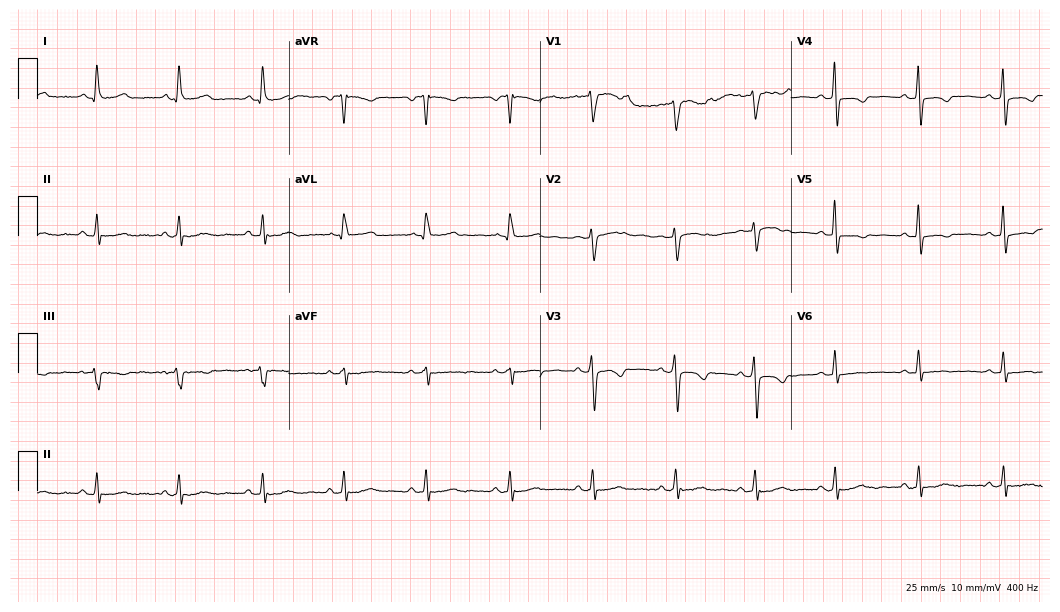
12-lead ECG (10.2-second recording at 400 Hz) from a woman, 50 years old. Screened for six findings — first-degree AV block, right bundle branch block, left bundle branch block, sinus bradycardia, atrial fibrillation, sinus tachycardia — none is recorded.